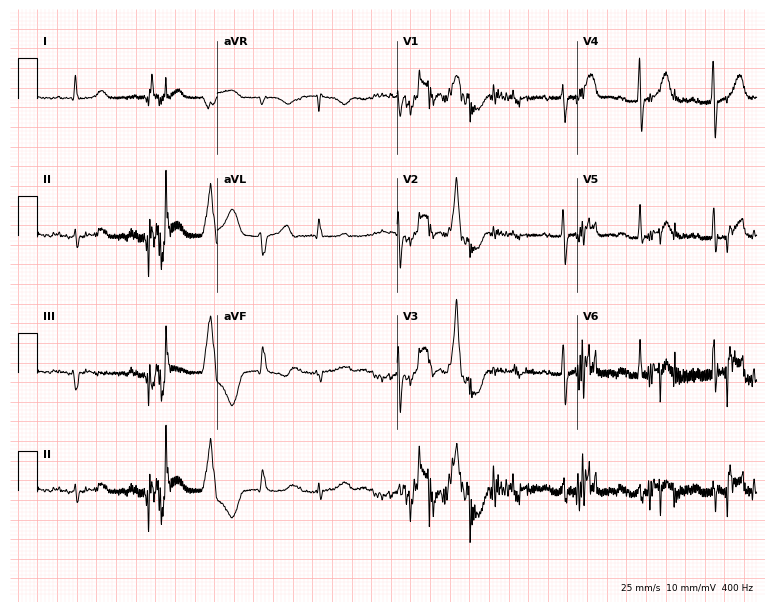
12-lead ECG from a woman, 85 years old. Screened for six findings — first-degree AV block, right bundle branch block, left bundle branch block, sinus bradycardia, atrial fibrillation, sinus tachycardia — none is recorded.